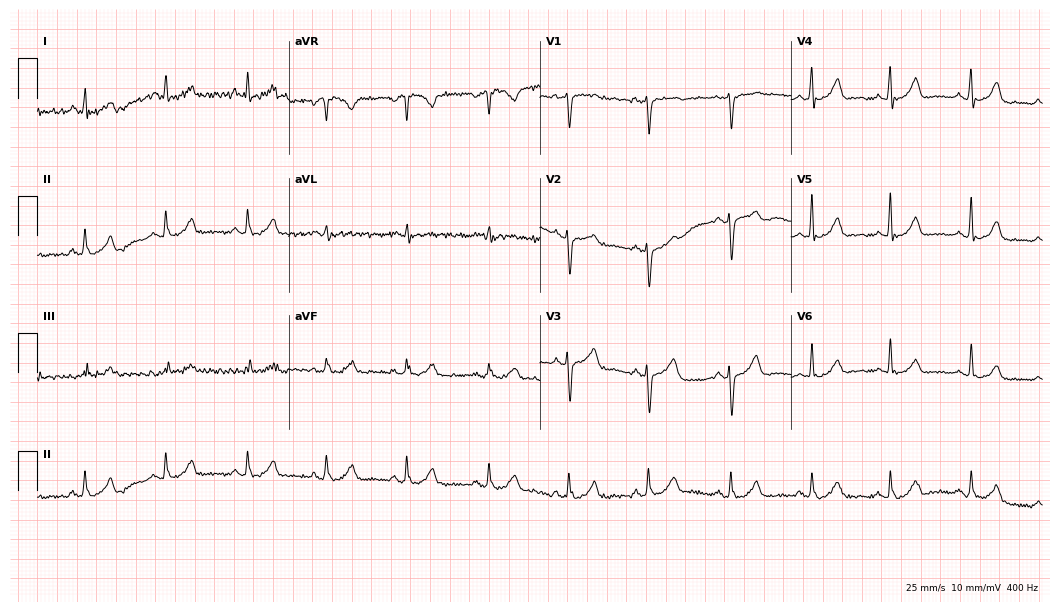
Electrocardiogram, a 42-year-old woman. Overall reading on record: normal ECG.